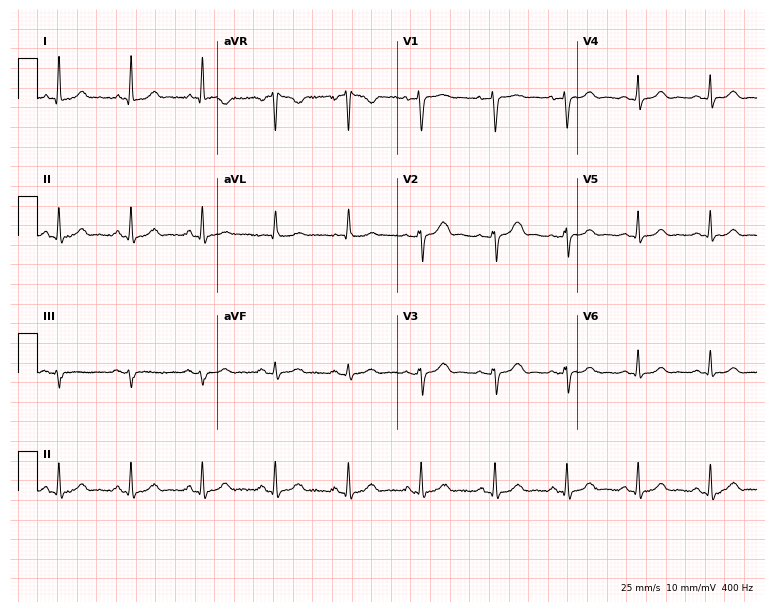
Standard 12-lead ECG recorded from a woman, 47 years old. Read as a normal ECG.